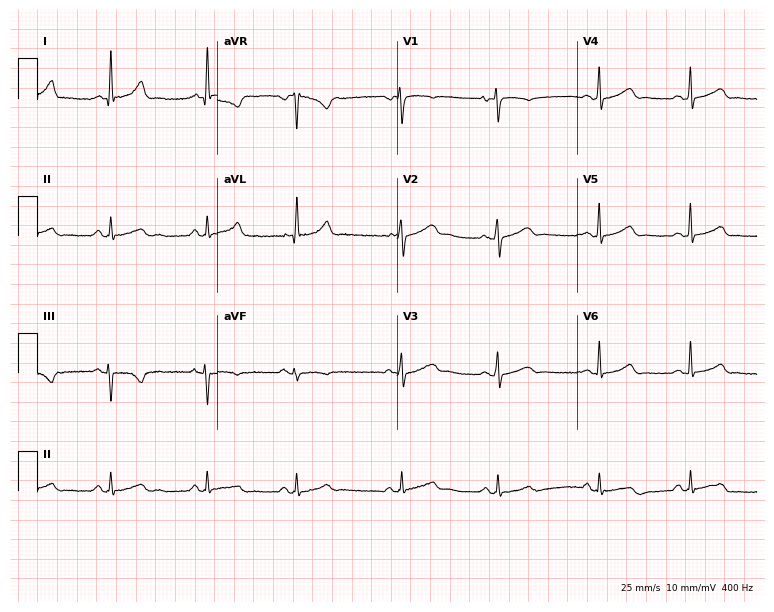
12-lead ECG from a 35-year-old female. Recorded interpretation: within normal limits.